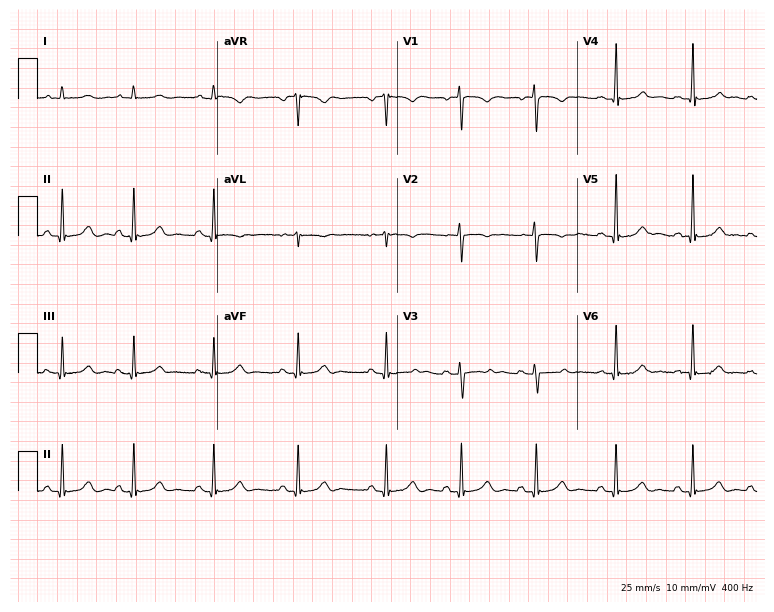
Resting 12-lead electrocardiogram. Patient: a female, 21 years old. Read as a normal ECG.